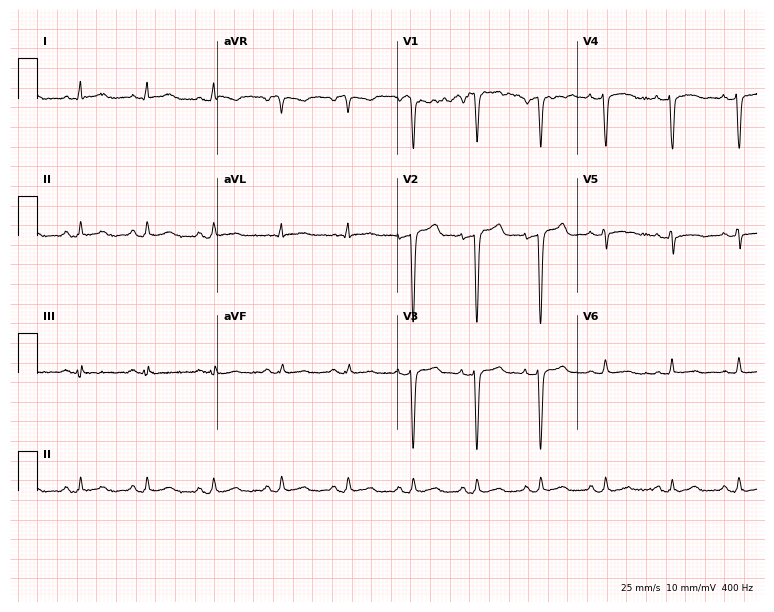
Standard 12-lead ECG recorded from a 36-year-old man. None of these six findings is recorded: first-degree AV block, right bundle branch block (RBBB), left bundle branch block (LBBB), sinus bradycardia, atrial fibrillation (AF), sinus tachycardia.